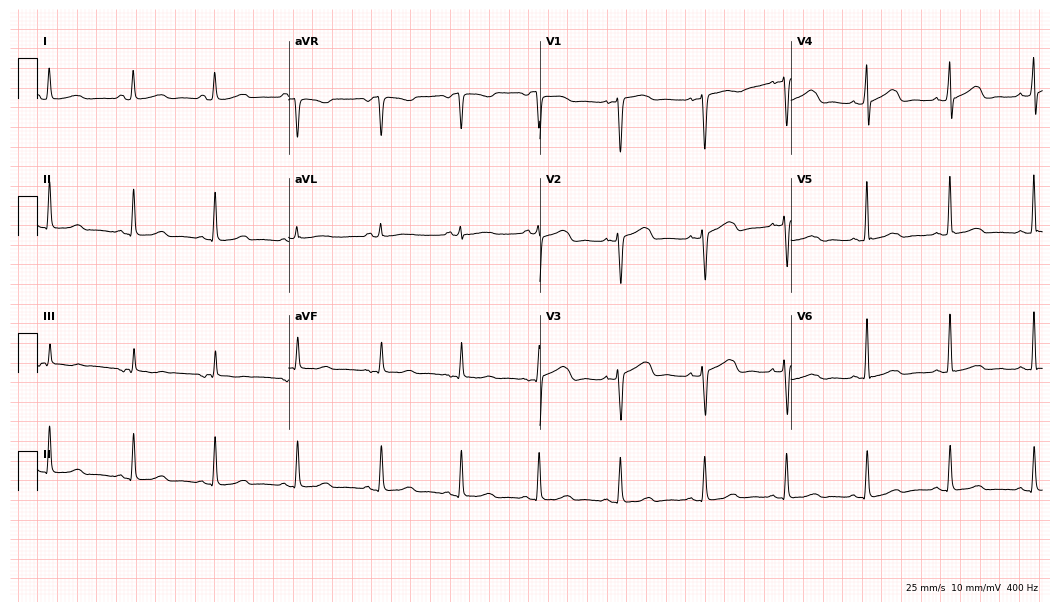
Standard 12-lead ECG recorded from a woman, 44 years old. None of these six findings is recorded: first-degree AV block, right bundle branch block, left bundle branch block, sinus bradycardia, atrial fibrillation, sinus tachycardia.